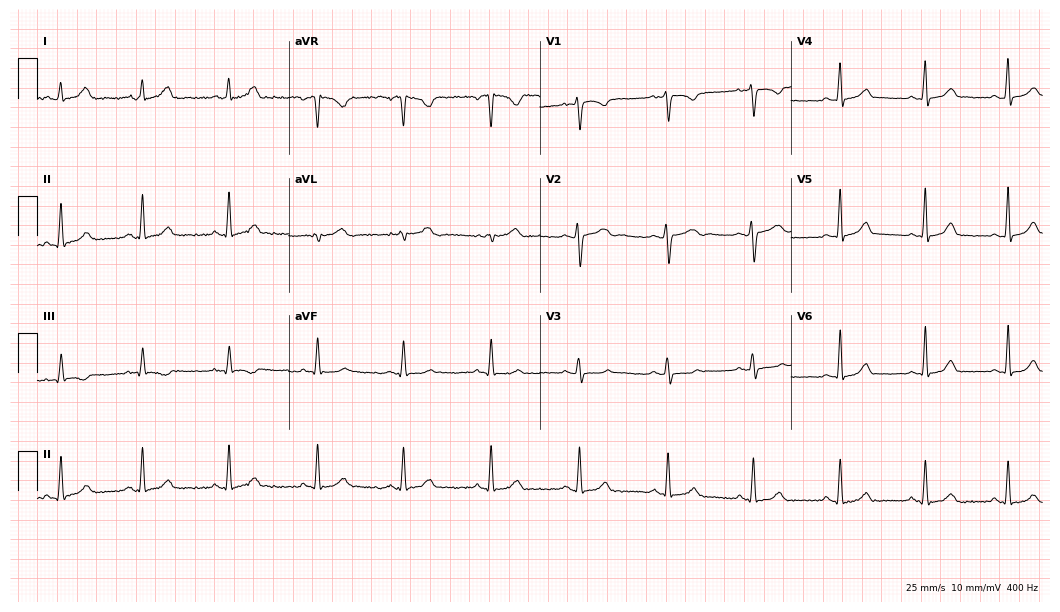
Resting 12-lead electrocardiogram (10.2-second recording at 400 Hz). Patient: a woman, 28 years old. Read as a normal ECG.